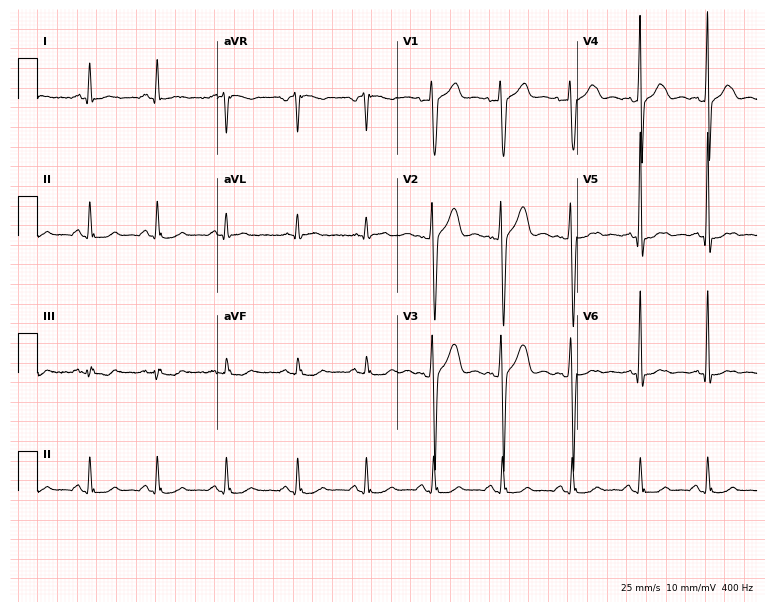
Electrocardiogram (7.3-second recording at 400 Hz), a 33-year-old male. Of the six screened findings (first-degree AV block, right bundle branch block (RBBB), left bundle branch block (LBBB), sinus bradycardia, atrial fibrillation (AF), sinus tachycardia), none is recorded.